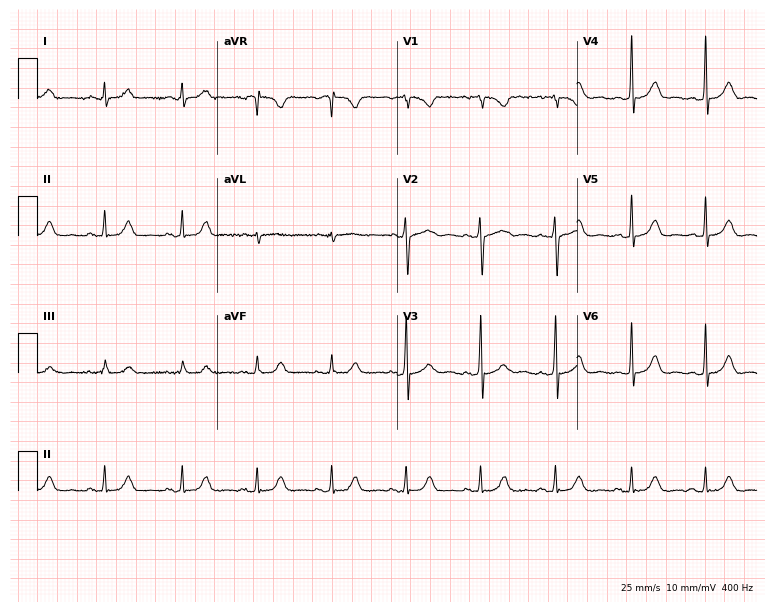
ECG — a 39-year-old woman. Screened for six findings — first-degree AV block, right bundle branch block, left bundle branch block, sinus bradycardia, atrial fibrillation, sinus tachycardia — none is recorded. Findings outside these six are not listed.